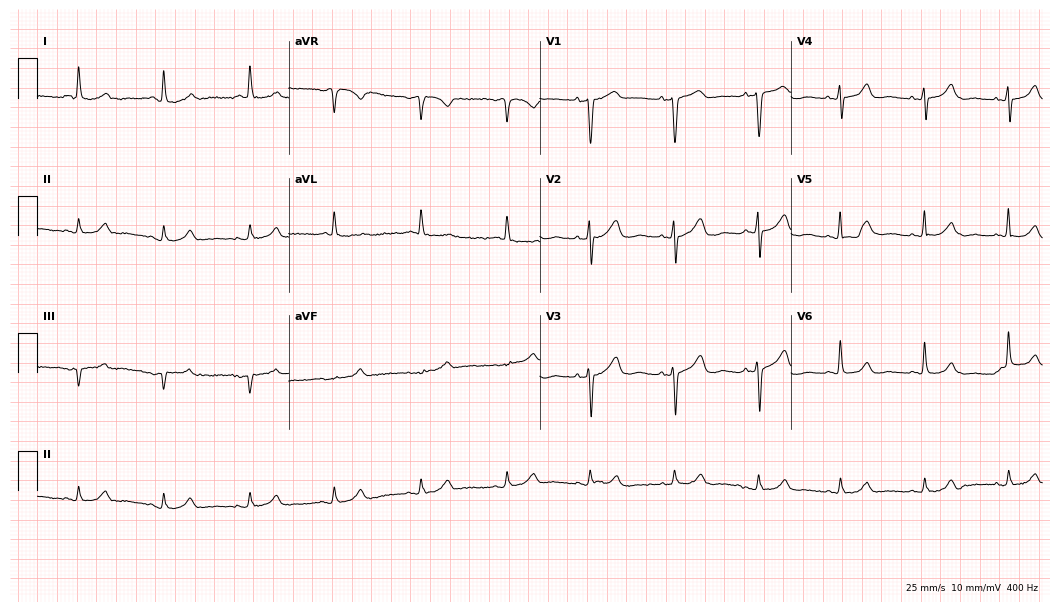
Resting 12-lead electrocardiogram (10.2-second recording at 400 Hz). Patient: a 75-year-old woman. Read as a normal ECG.